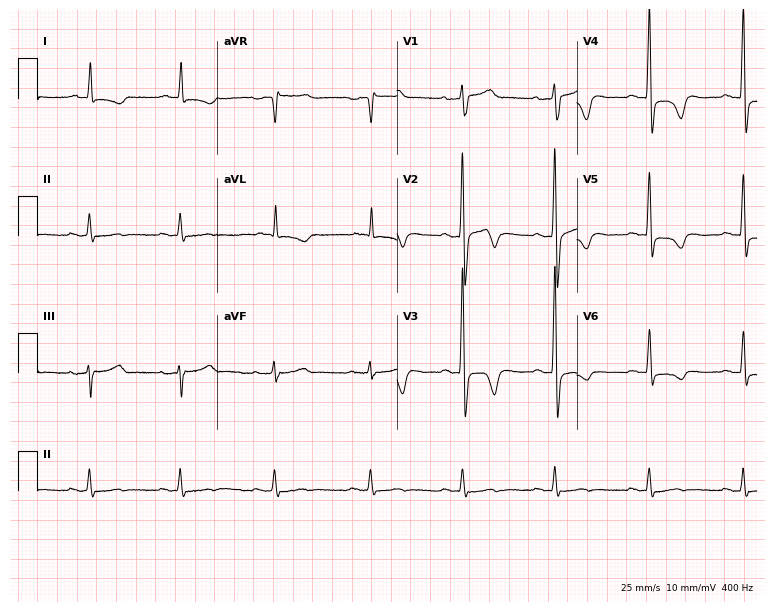
12-lead ECG (7.3-second recording at 400 Hz) from a man, 62 years old. Screened for six findings — first-degree AV block, right bundle branch block, left bundle branch block, sinus bradycardia, atrial fibrillation, sinus tachycardia — none is recorded.